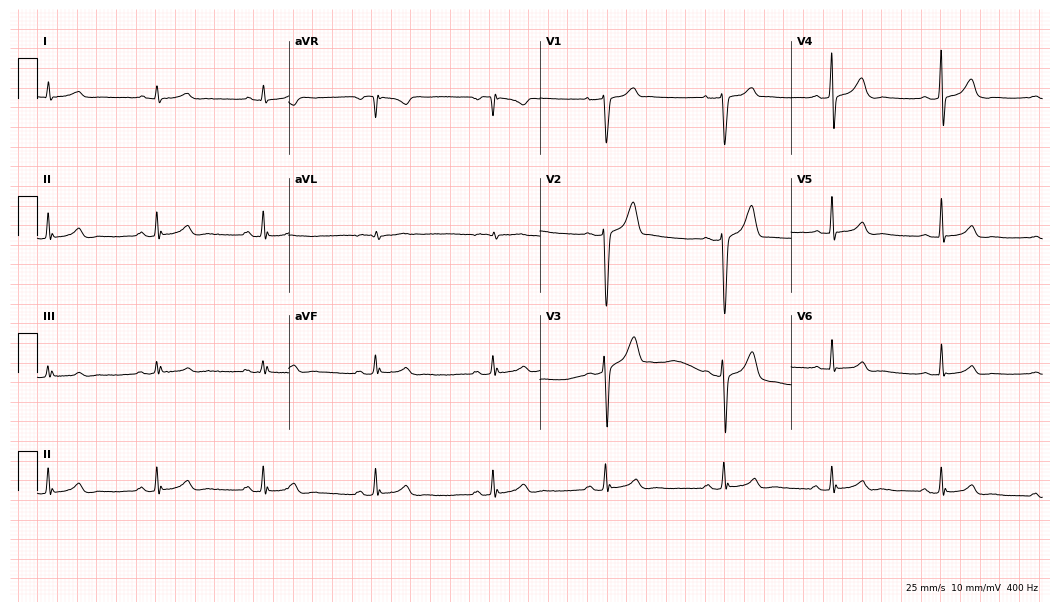
Resting 12-lead electrocardiogram. Patient: a 40-year-old man. None of these six findings is recorded: first-degree AV block, right bundle branch block (RBBB), left bundle branch block (LBBB), sinus bradycardia, atrial fibrillation (AF), sinus tachycardia. Other findings, if any, are not listed.